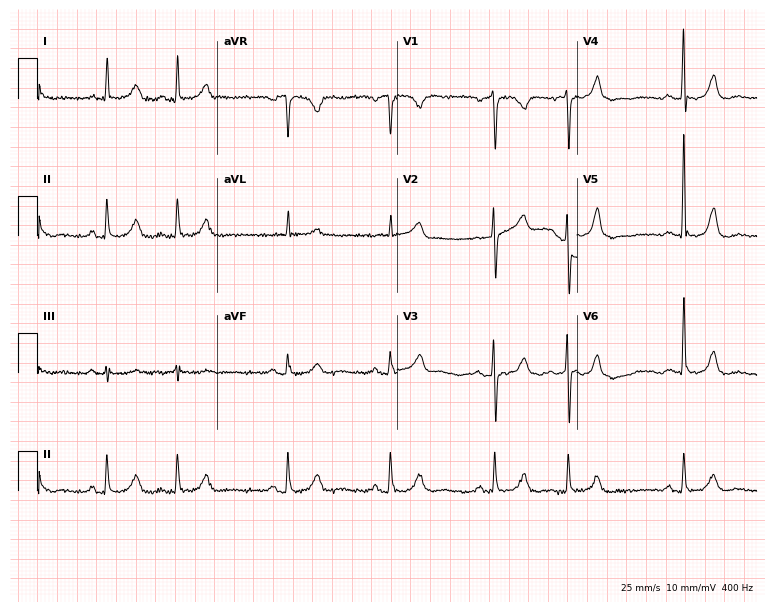
12-lead ECG (7.3-second recording at 400 Hz) from a male, 77 years old. Screened for six findings — first-degree AV block, right bundle branch block, left bundle branch block, sinus bradycardia, atrial fibrillation, sinus tachycardia — none is recorded. Findings outside these six are not listed.